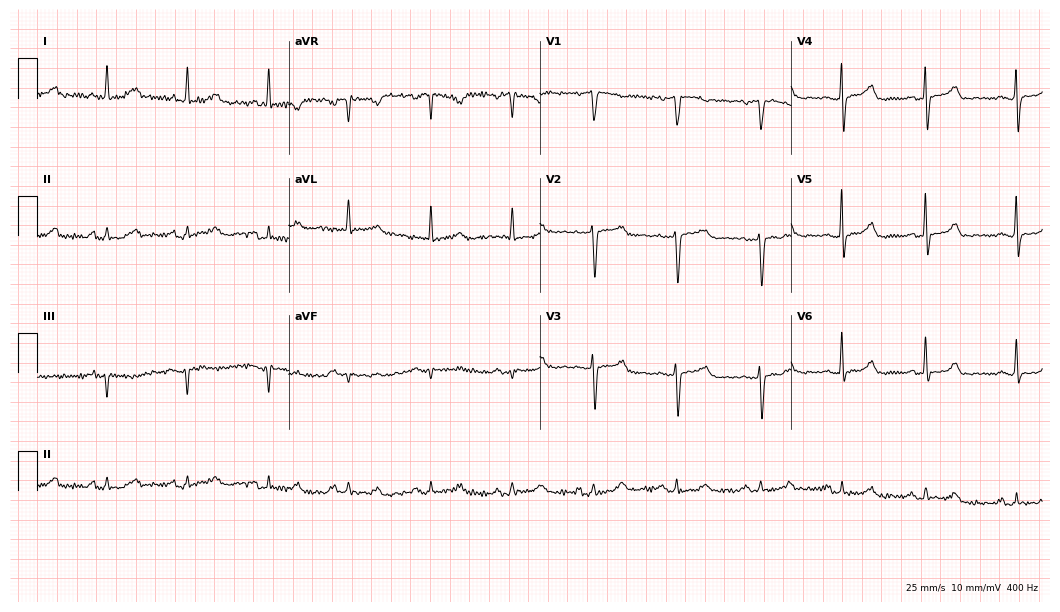
Standard 12-lead ECG recorded from a 60-year-old female patient (10.2-second recording at 400 Hz). Read as a normal ECG.